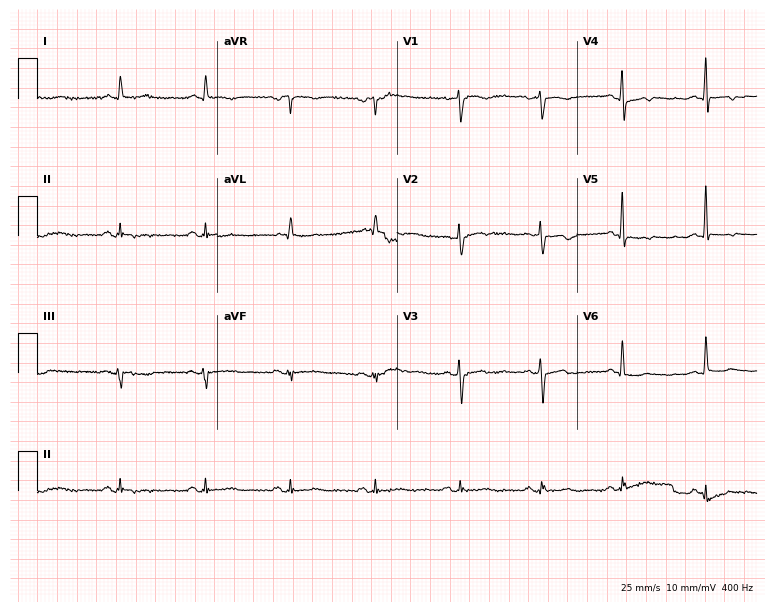
12-lead ECG from a man, 66 years old (7.3-second recording at 400 Hz). No first-degree AV block, right bundle branch block (RBBB), left bundle branch block (LBBB), sinus bradycardia, atrial fibrillation (AF) or sinus tachycardia recorded for this tracing.